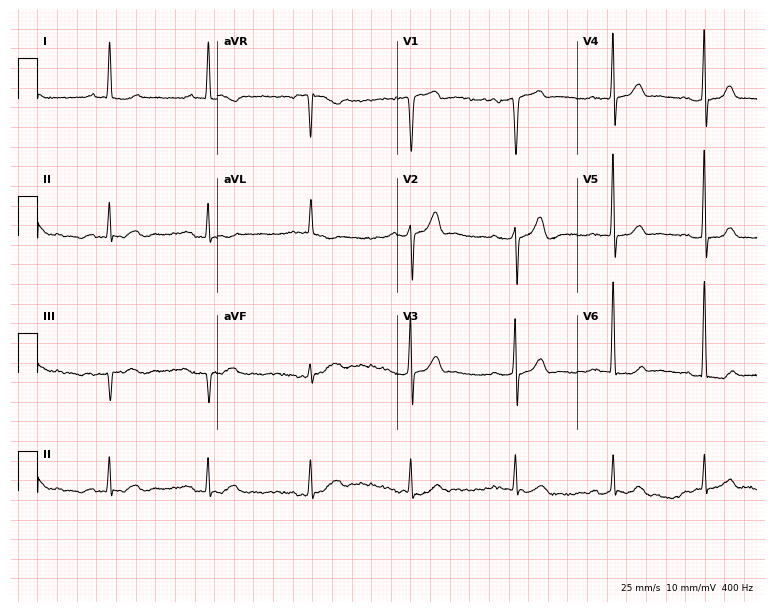
Standard 12-lead ECG recorded from a 68-year-old man. None of these six findings is recorded: first-degree AV block, right bundle branch block, left bundle branch block, sinus bradycardia, atrial fibrillation, sinus tachycardia. Only these six findings were labelled.